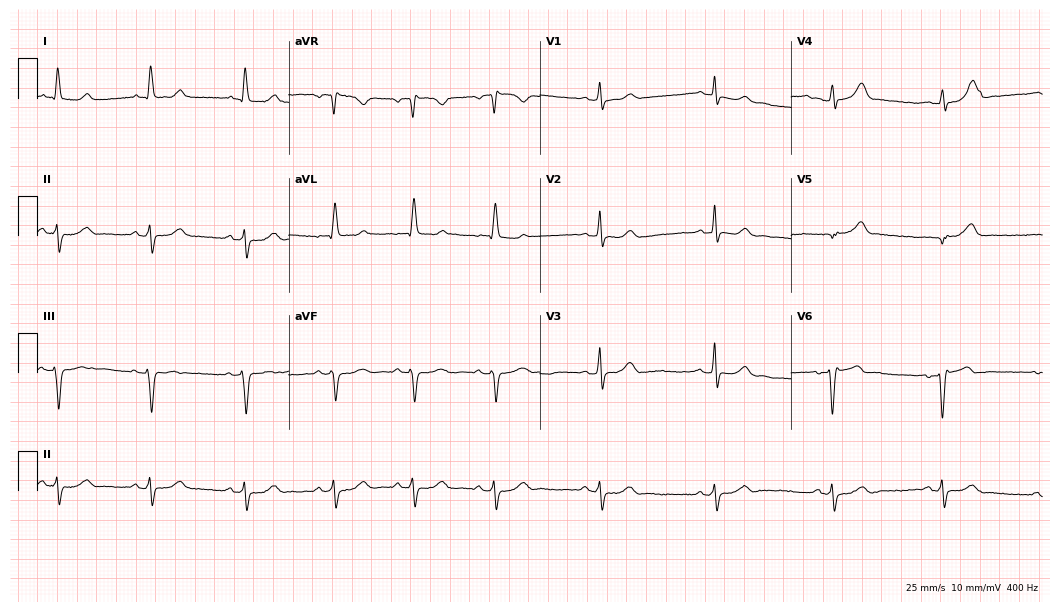
Electrocardiogram (10.2-second recording at 400 Hz), a 70-year-old male patient. Of the six screened findings (first-degree AV block, right bundle branch block (RBBB), left bundle branch block (LBBB), sinus bradycardia, atrial fibrillation (AF), sinus tachycardia), none is recorded.